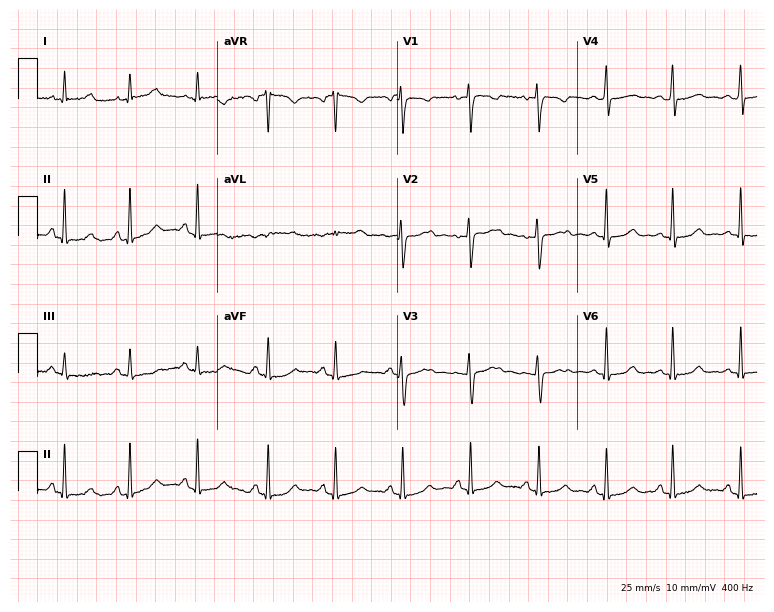
ECG (7.3-second recording at 400 Hz) — a 26-year-old female. Labelled as a normal ECG.